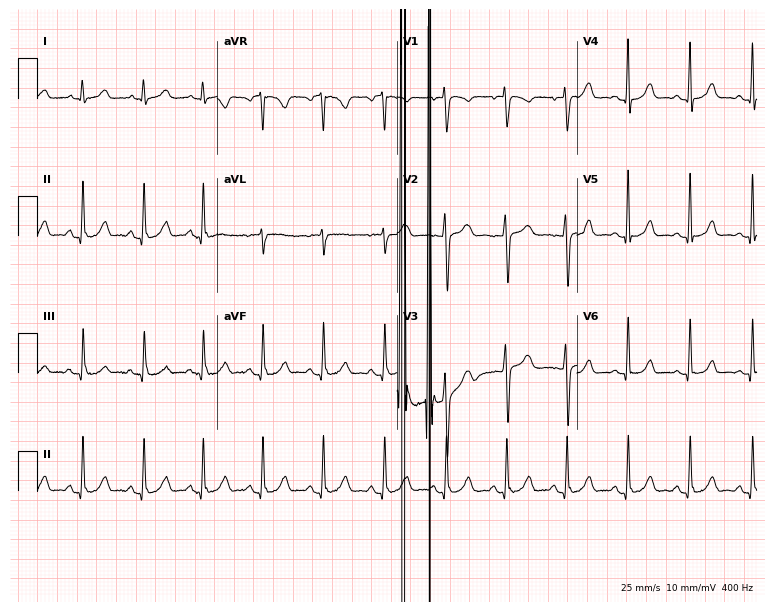
12-lead ECG from a 19-year-old female (7.3-second recording at 400 Hz). Recorded interpretation: within normal limits.